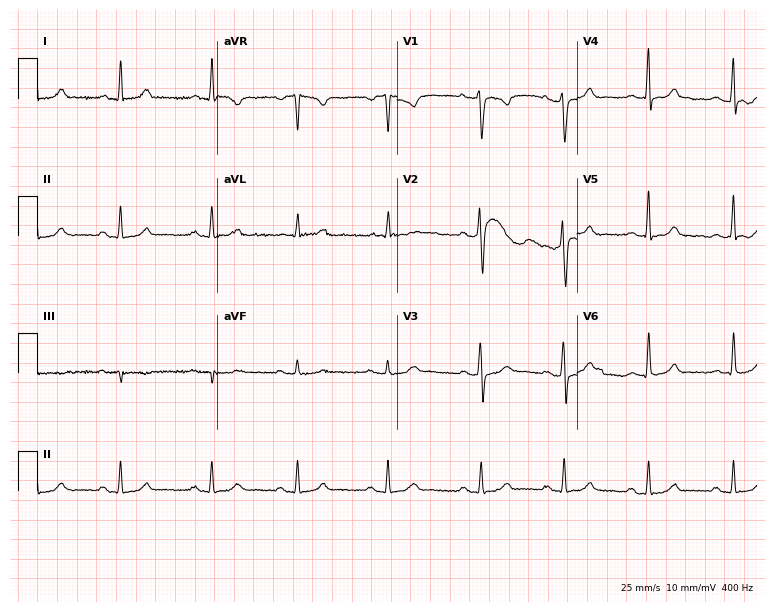
Standard 12-lead ECG recorded from a female patient, 31 years old (7.3-second recording at 400 Hz). Read as a normal ECG.